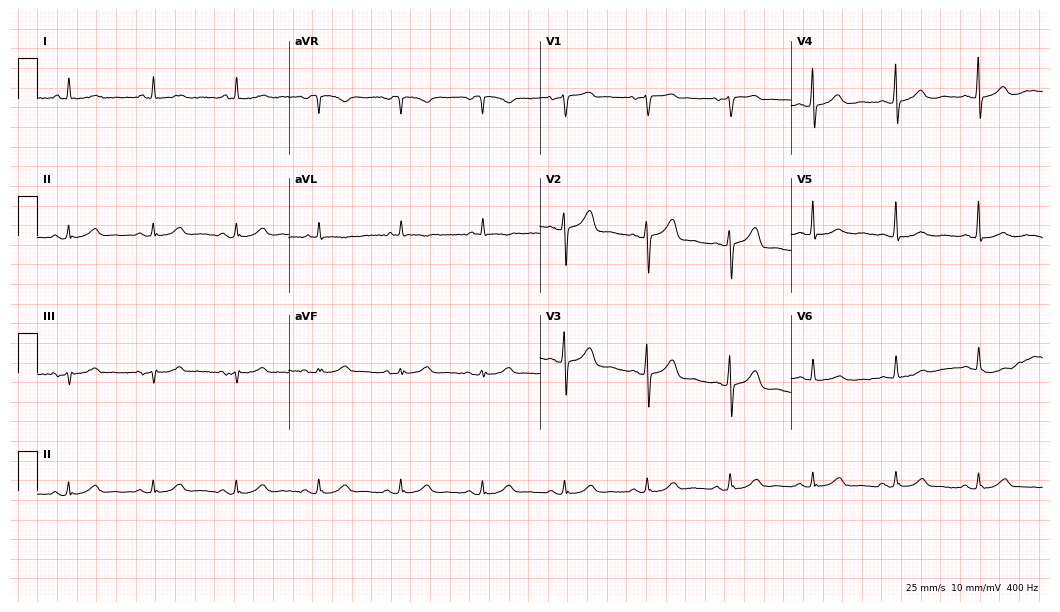
12-lead ECG from an 80-year-old female (10.2-second recording at 400 Hz). No first-degree AV block, right bundle branch block (RBBB), left bundle branch block (LBBB), sinus bradycardia, atrial fibrillation (AF) or sinus tachycardia recorded for this tracing. Other findings, if any, are not listed.